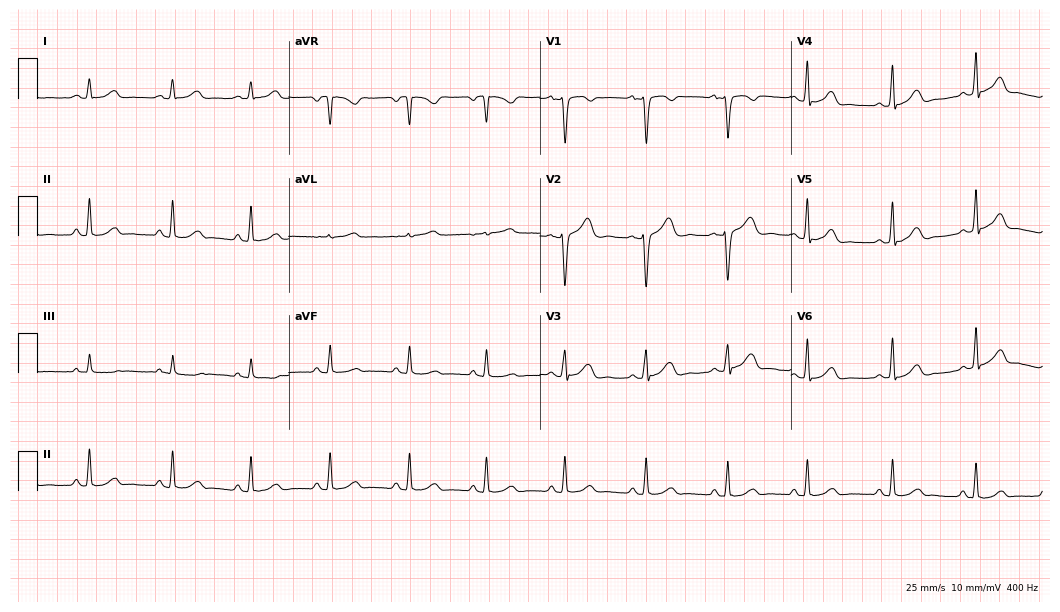
Electrocardiogram, a 39-year-old female patient. Overall reading on record: normal ECG.